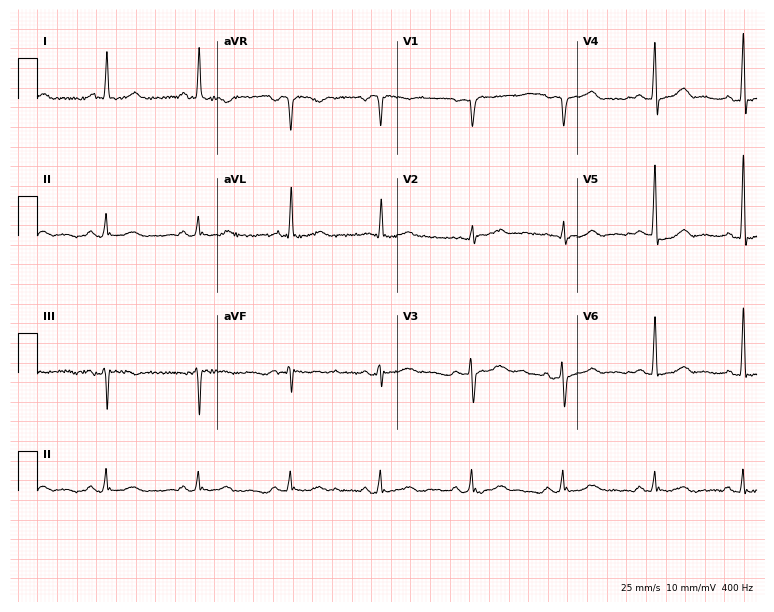
Resting 12-lead electrocardiogram (7.3-second recording at 400 Hz). Patient: a 78-year-old female. Read as a normal ECG.